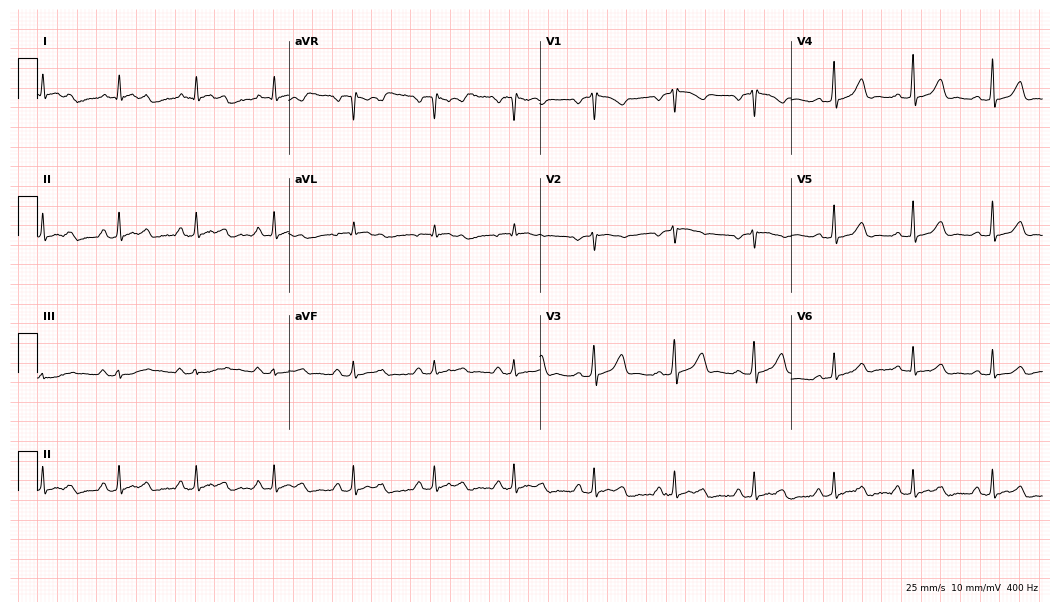
Resting 12-lead electrocardiogram (10.2-second recording at 400 Hz). Patient: a 49-year-old woman. None of these six findings is recorded: first-degree AV block, right bundle branch block, left bundle branch block, sinus bradycardia, atrial fibrillation, sinus tachycardia.